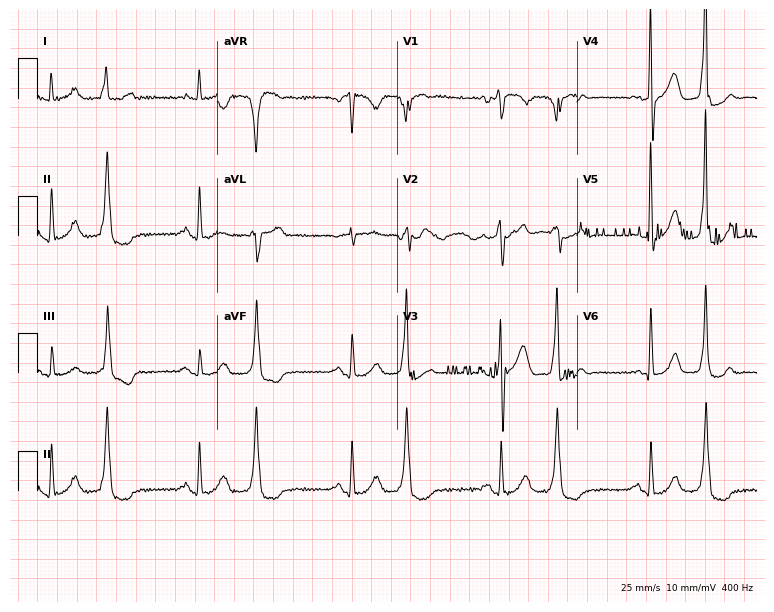
Resting 12-lead electrocardiogram. Patient: a male, 65 years old. None of these six findings is recorded: first-degree AV block, right bundle branch block, left bundle branch block, sinus bradycardia, atrial fibrillation, sinus tachycardia.